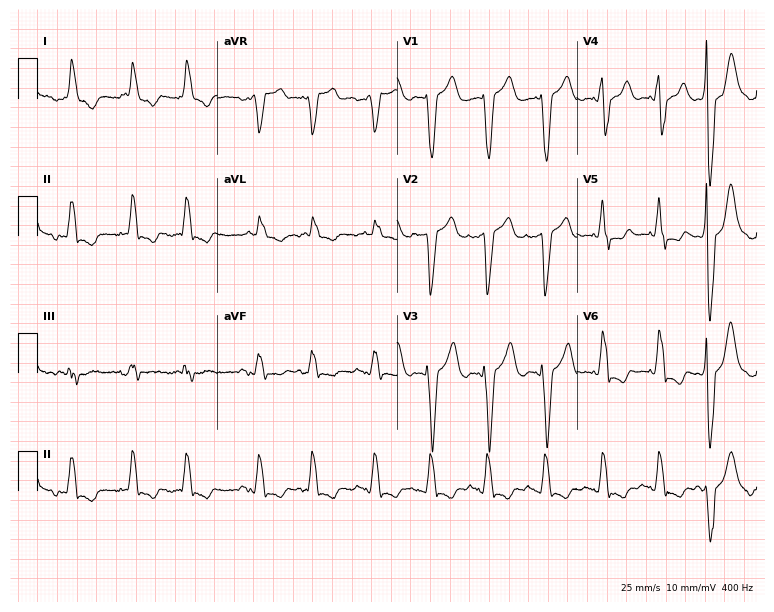
Standard 12-lead ECG recorded from a woman, 81 years old. The tracing shows left bundle branch block.